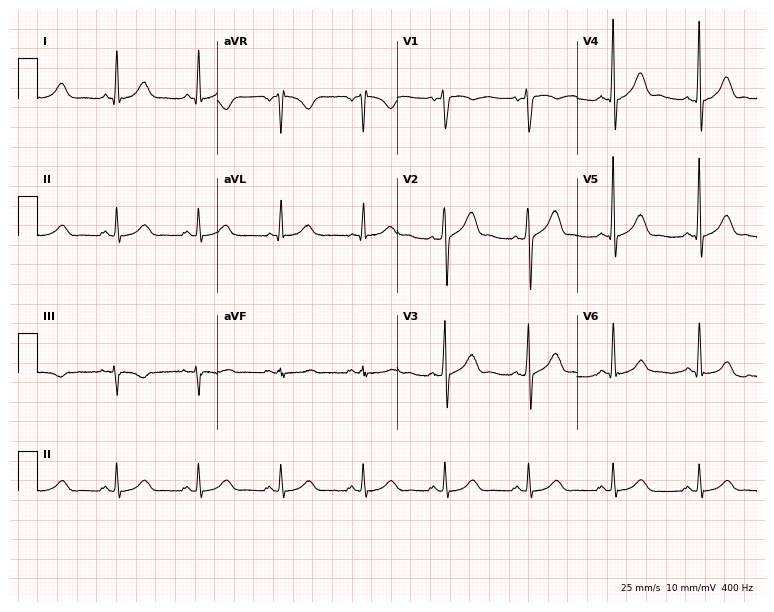
12-lead ECG from a male, 54 years old (7.3-second recording at 400 Hz). No first-degree AV block, right bundle branch block, left bundle branch block, sinus bradycardia, atrial fibrillation or sinus tachycardia recorded for this tracing. Only these six findings were labelled.